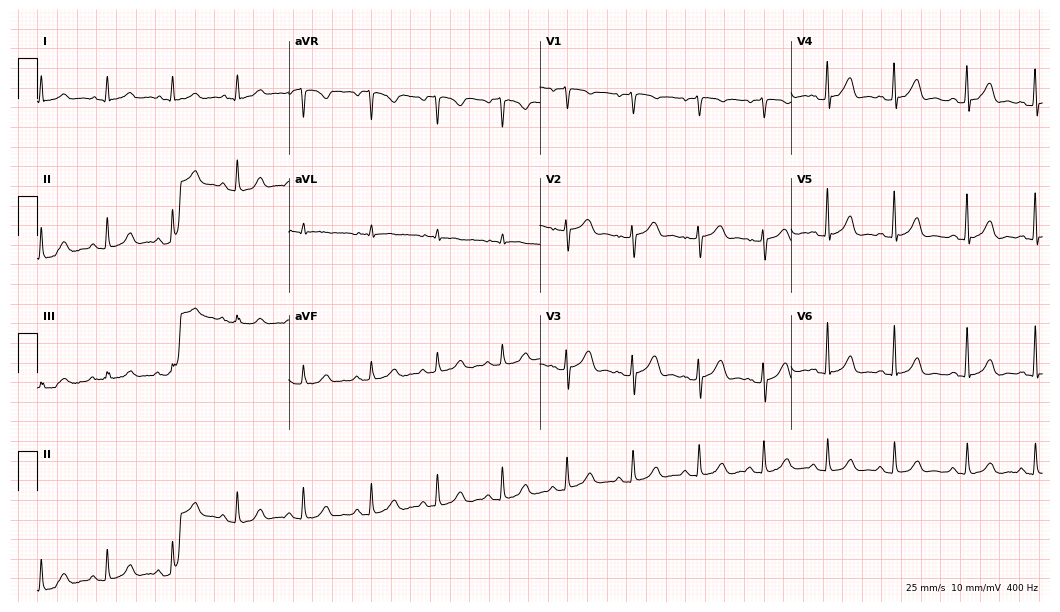
Standard 12-lead ECG recorded from a 68-year-old woman. Read as a normal ECG.